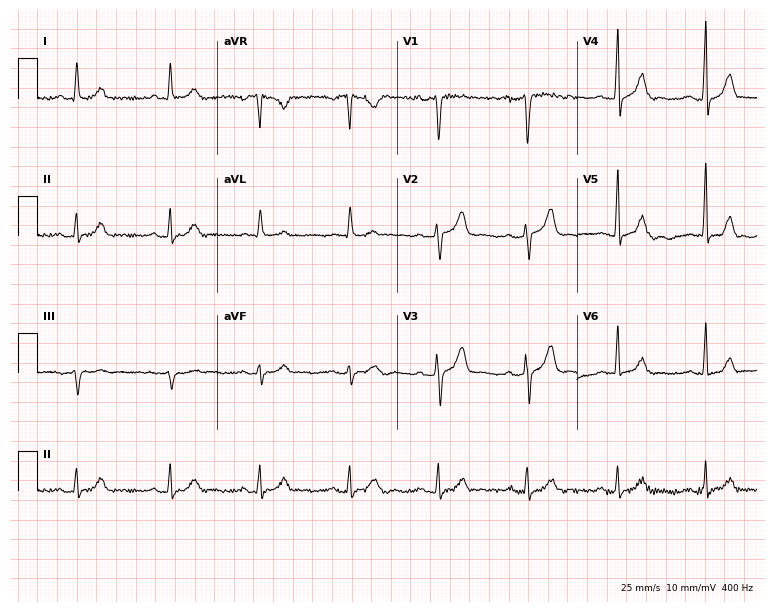
ECG — a 61-year-old male. Labelled as a normal ECG.